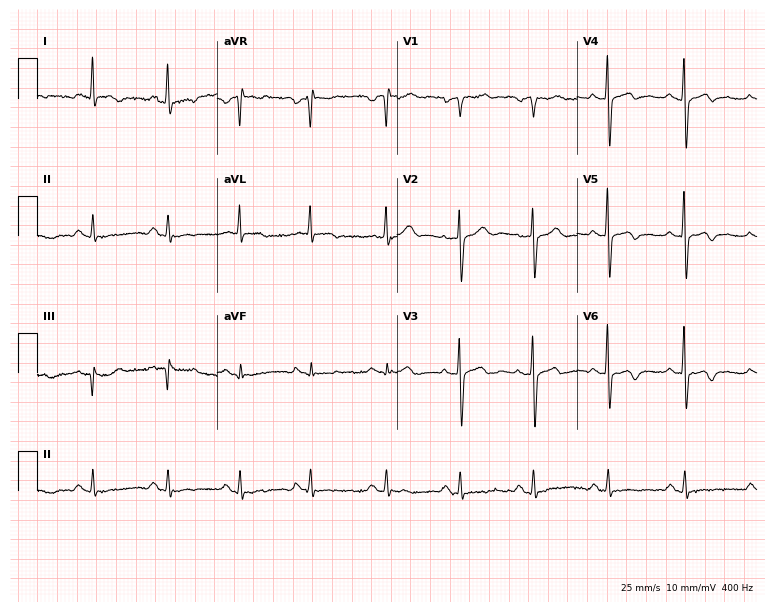
Resting 12-lead electrocardiogram (7.3-second recording at 400 Hz). Patient: a 54-year-old male. None of these six findings is recorded: first-degree AV block, right bundle branch block (RBBB), left bundle branch block (LBBB), sinus bradycardia, atrial fibrillation (AF), sinus tachycardia. Findings outside these six are not listed.